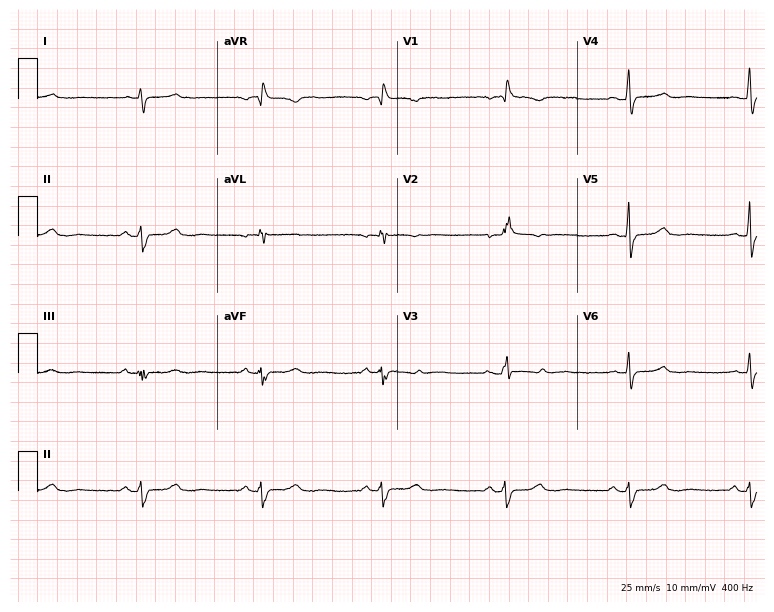
ECG (7.3-second recording at 400 Hz) — a female, 41 years old. Findings include right bundle branch block (RBBB), sinus bradycardia (a sinus rate of 50 beats per minute or less).